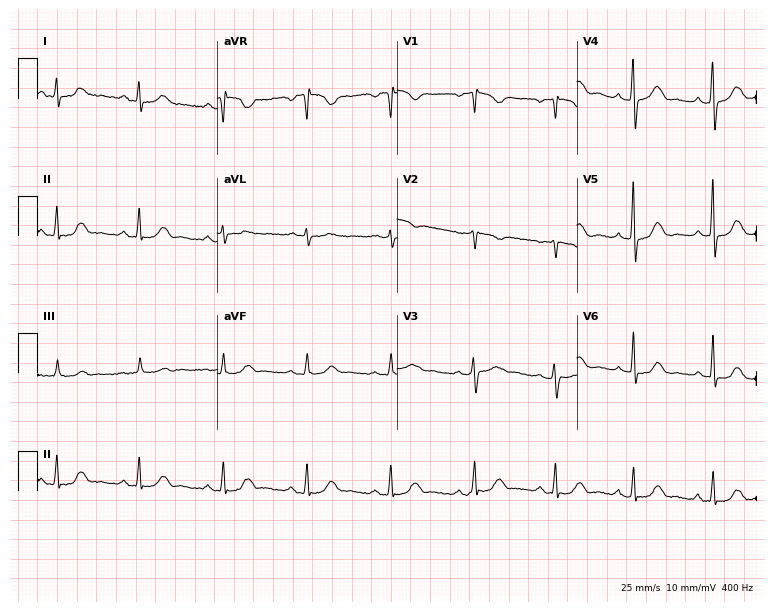
12-lead ECG from a 59-year-old woman. Screened for six findings — first-degree AV block, right bundle branch block, left bundle branch block, sinus bradycardia, atrial fibrillation, sinus tachycardia — none is recorded. Only these six findings were labelled.